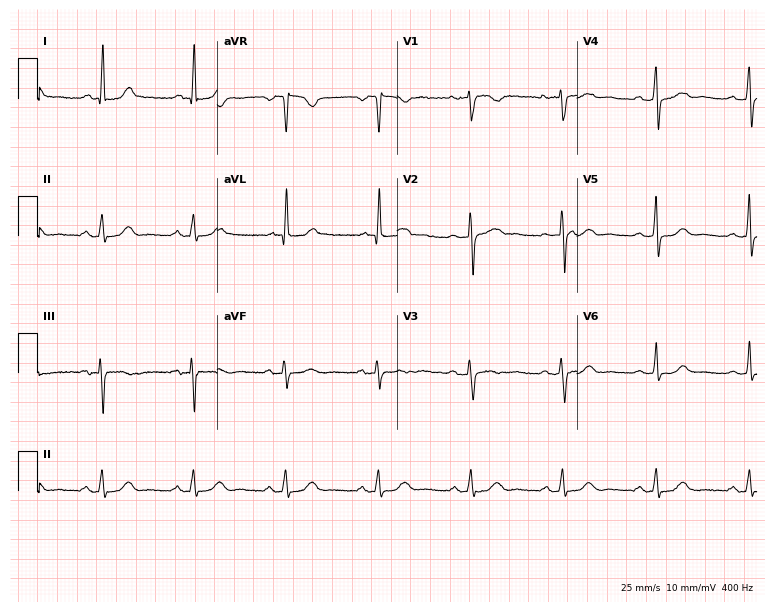
12-lead ECG (7.3-second recording at 400 Hz) from a woman, 58 years old. Screened for six findings — first-degree AV block, right bundle branch block (RBBB), left bundle branch block (LBBB), sinus bradycardia, atrial fibrillation (AF), sinus tachycardia — none is recorded. Other findings, if any, are not listed.